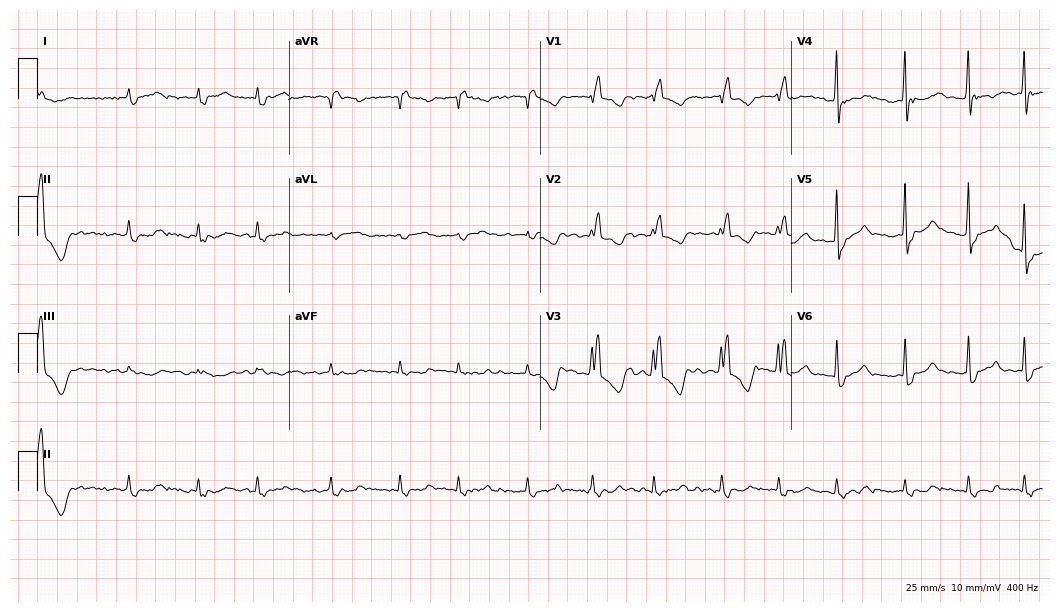
12-lead ECG from a male, 80 years old. Shows right bundle branch block (RBBB), atrial fibrillation (AF).